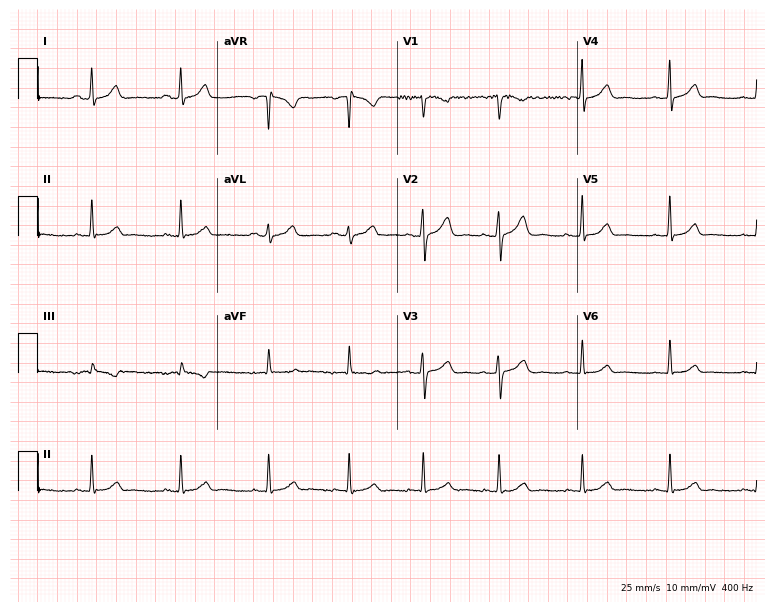
Electrocardiogram, a female, 21 years old. Overall reading on record: normal ECG.